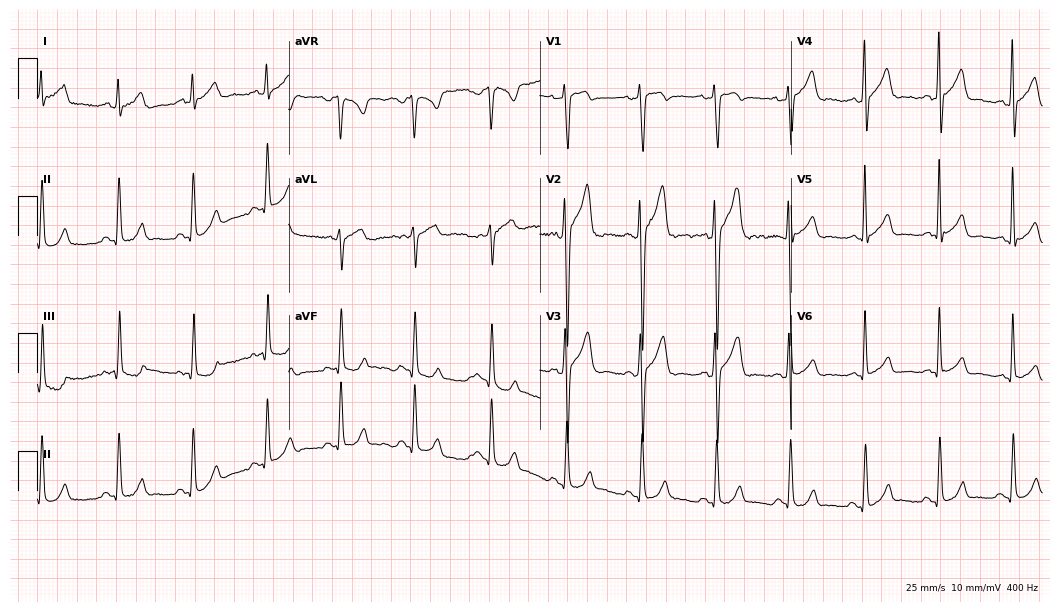
ECG — a 30-year-old male patient. Labelled as a normal ECG.